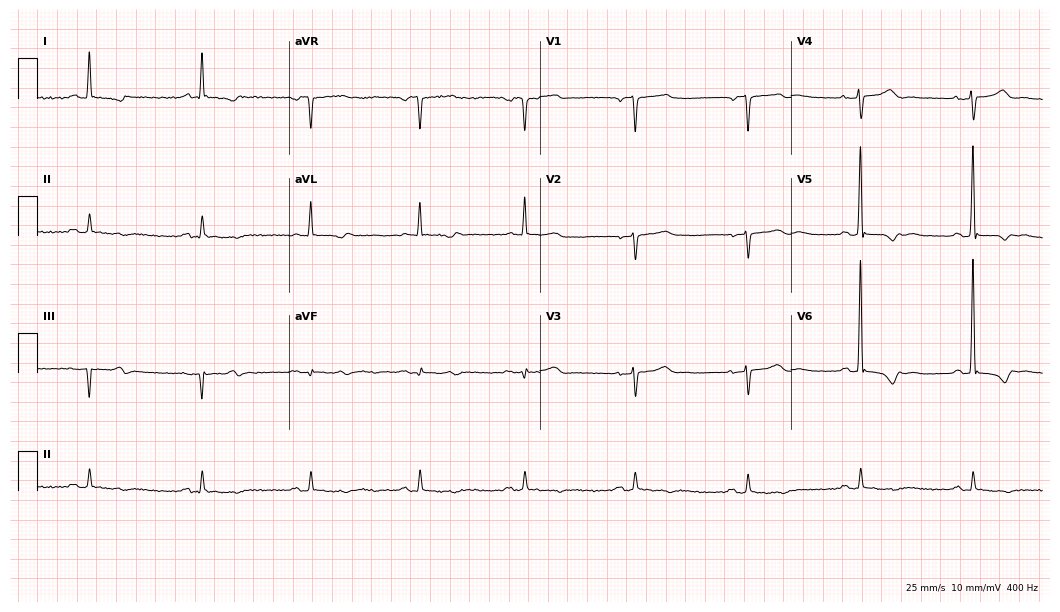
12-lead ECG from a 68-year-old male (10.2-second recording at 400 Hz). No first-degree AV block, right bundle branch block, left bundle branch block, sinus bradycardia, atrial fibrillation or sinus tachycardia recorded for this tracing.